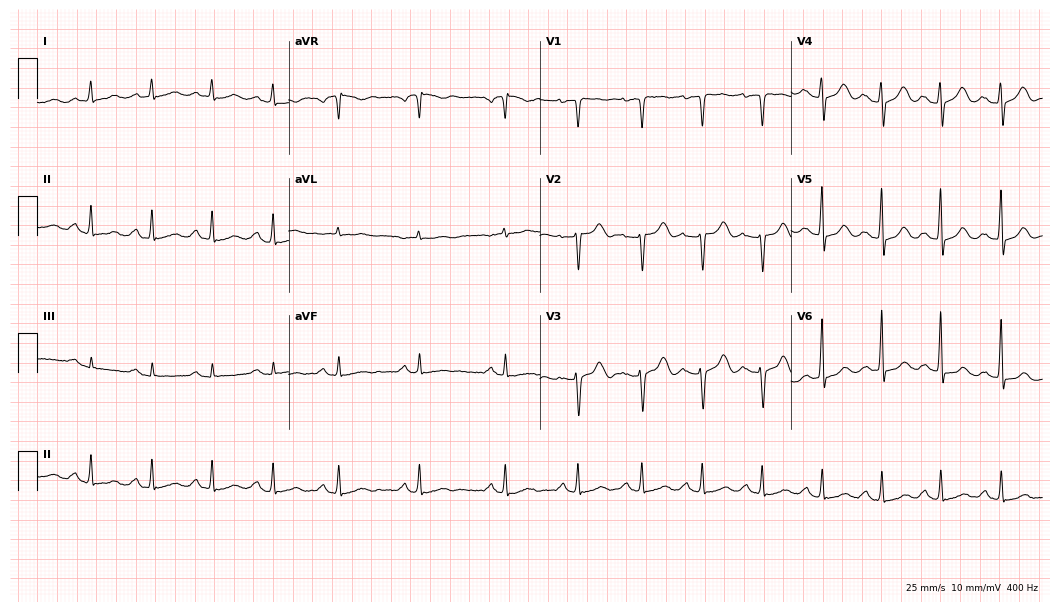
Electrocardiogram, a female, 60 years old. Overall reading on record: normal ECG.